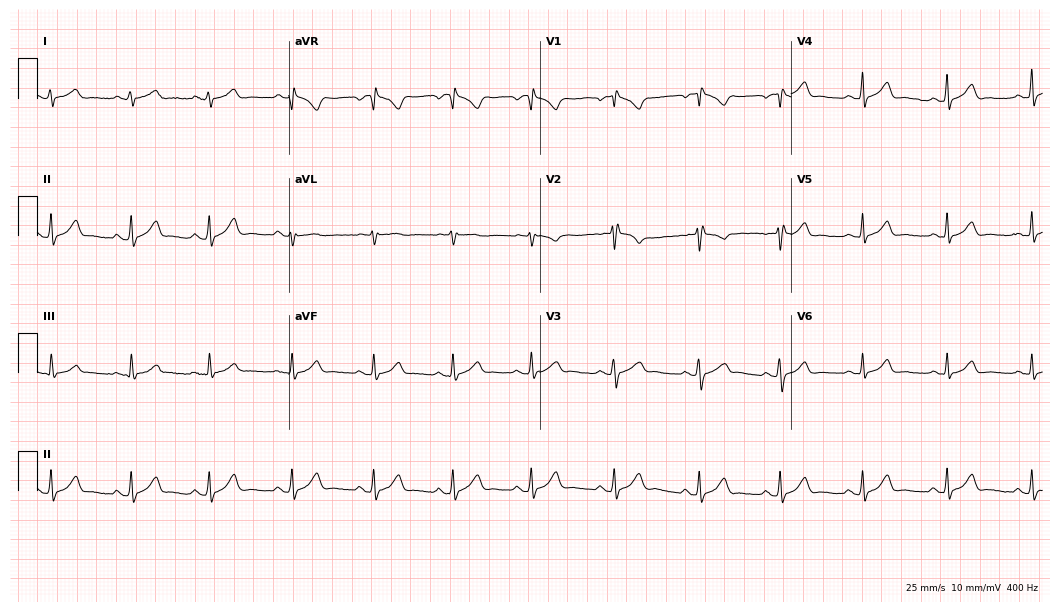
12-lead ECG (10.2-second recording at 400 Hz) from a 22-year-old female patient. Screened for six findings — first-degree AV block, right bundle branch block (RBBB), left bundle branch block (LBBB), sinus bradycardia, atrial fibrillation (AF), sinus tachycardia — none is recorded. Other findings, if any, are not listed.